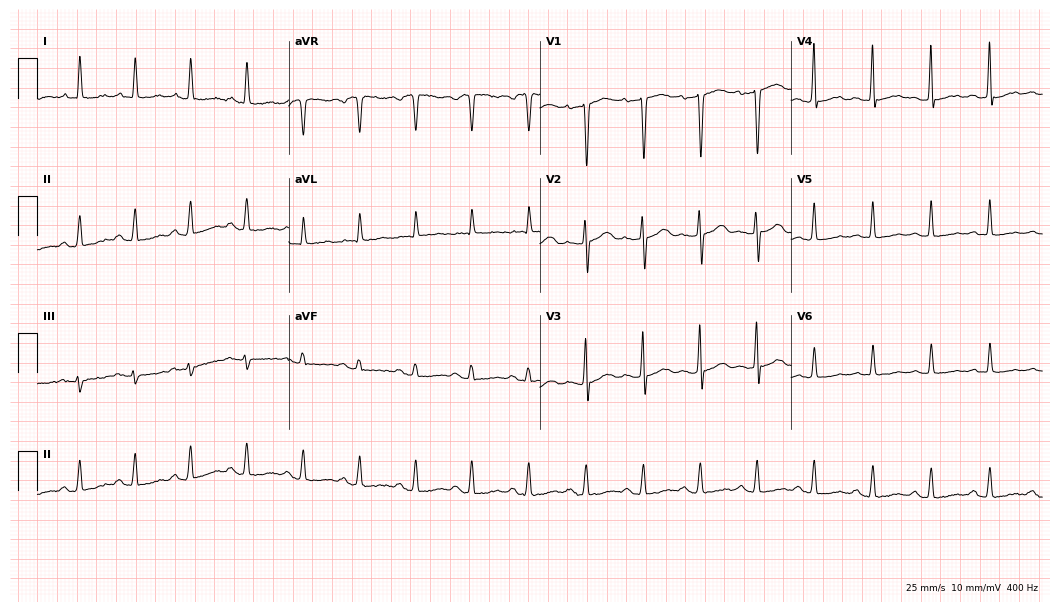
ECG (10.2-second recording at 400 Hz) — a female patient, 41 years old. Screened for six findings — first-degree AV block, right bundle branch block, left bundle branch block, sinus bradycardia, atrial fibrillation, sinus tachycardia — none is recorded.